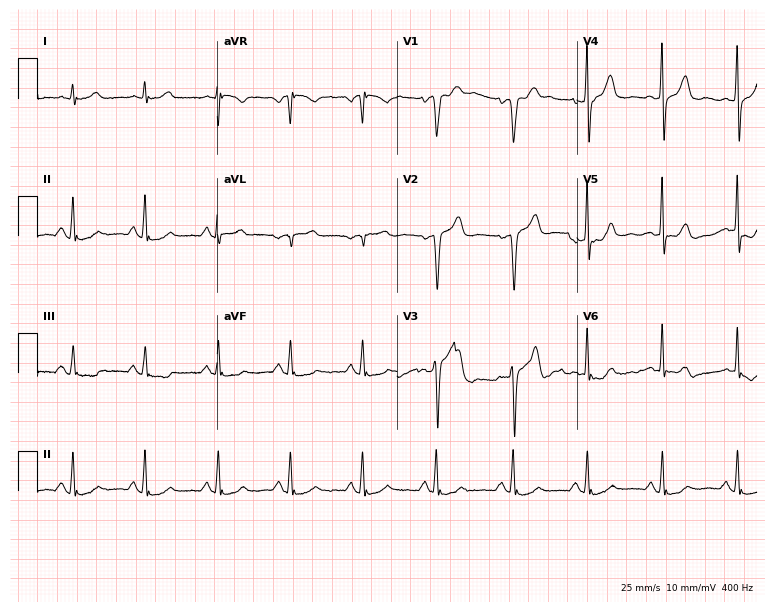
Electrocardiogram (7.3-second recording at 400 Hz), a male, 69 years old. Overall reading on record: normal ECG.